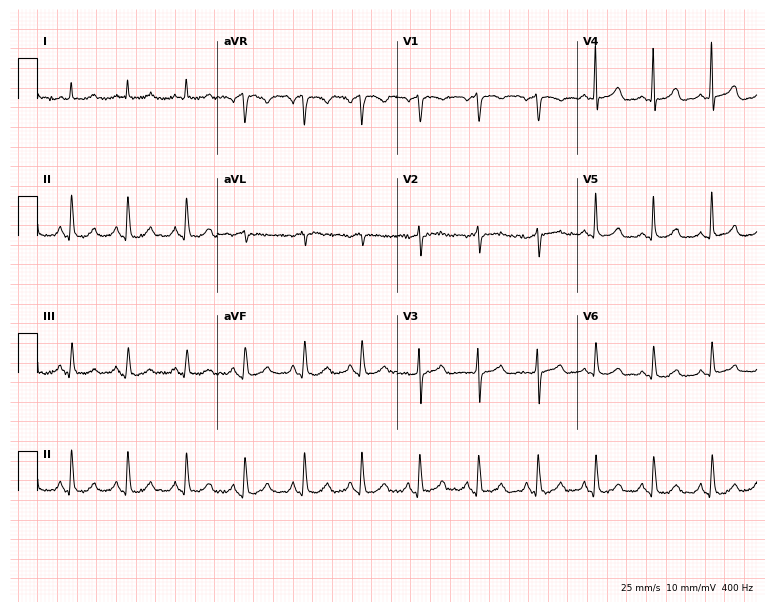
Electrocardiogram (7.3-second recording at 400 Hz), a woman, 80 years old. Overall reading on record: normal ECG.